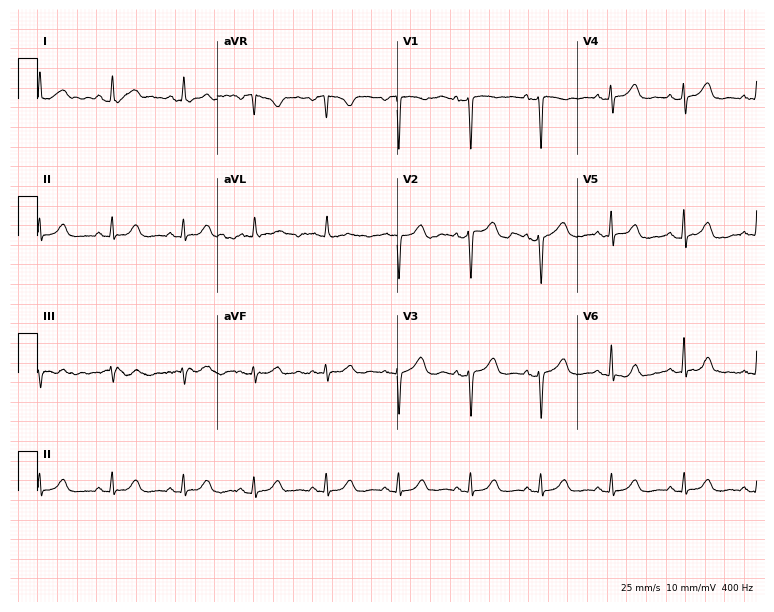
Electrocardiogram (7.3-second recording at 400 Hz), a 40-year-old female patient. Overall reading on record: normal ECG.